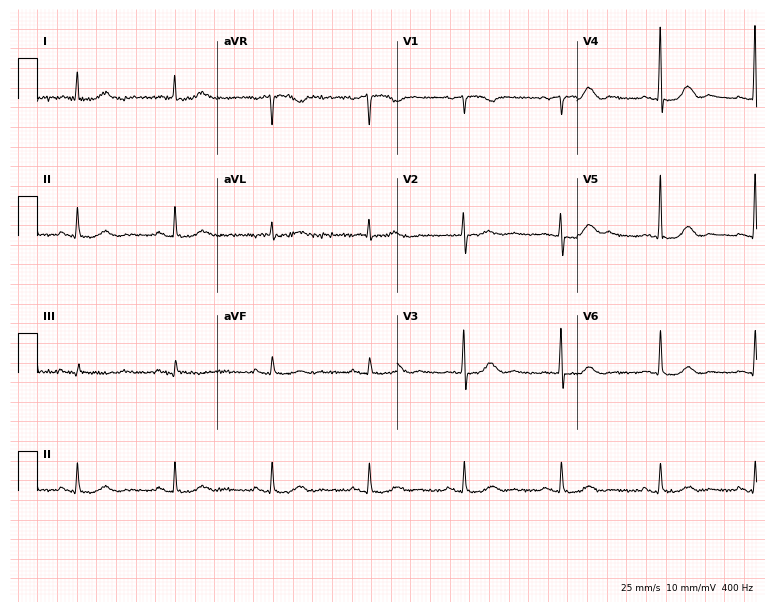
Resting 12-lead electrocardiogram. Patient: an 81-year-old woman. None of these six findings is recorded: first-degree AV block, right bundle branch block (RBBB), left bundle branch block (LBBB), sinus bradycardia, atrial fibrillation (AF), sinus tachycardia. Only these six findings were labelled.